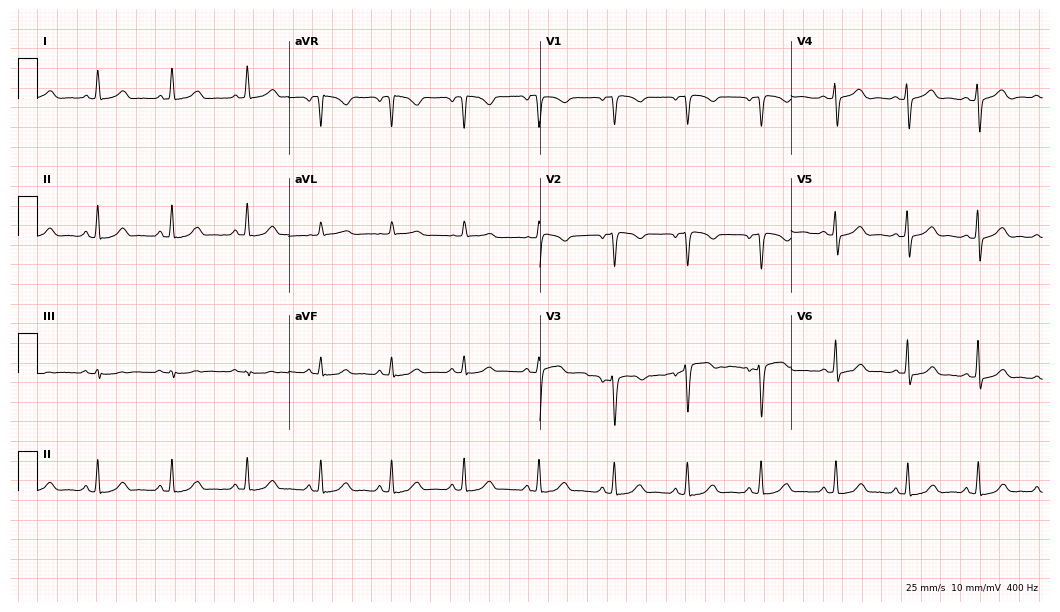
12-lead ECG from a woman, 35 years old (10.2-second recording at 400 Hz). Recorded interpretation: within normal limits.